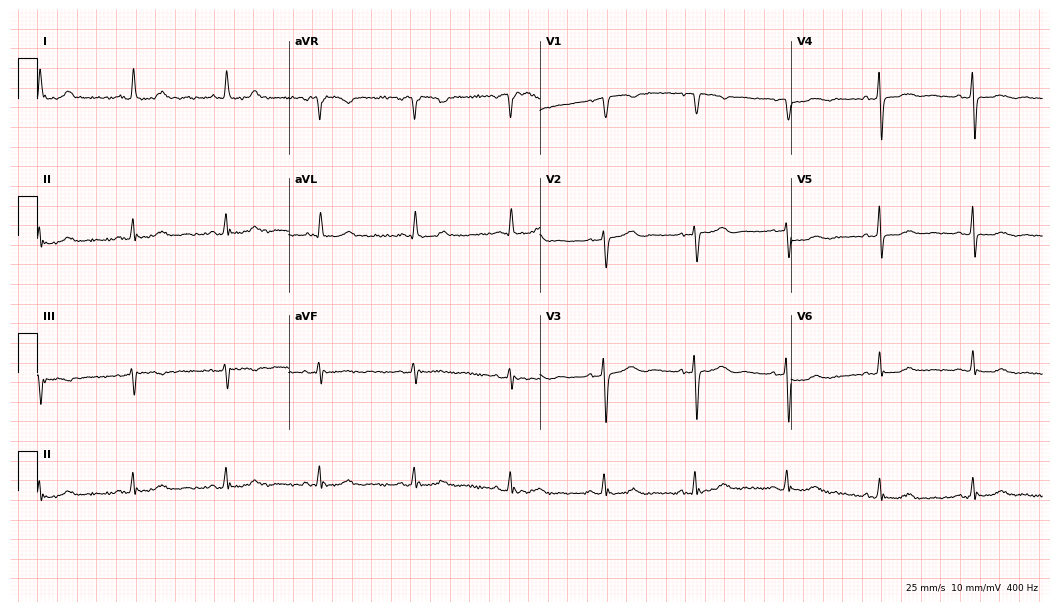
Standard 12-lead ECG recorded from a 63-year-old female (10.2-second recording at 400 Hz). Read as a normal ECG.